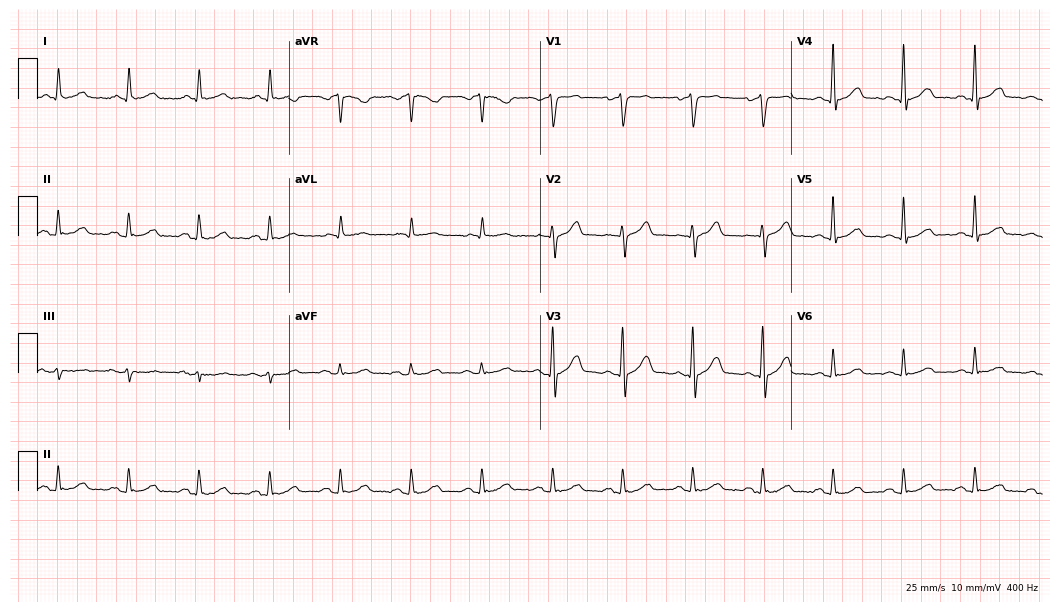
12-lead ECG (10.2-second recording at 400 Hz) from a 76-year-old male patient. Labelled as a normal ECG.